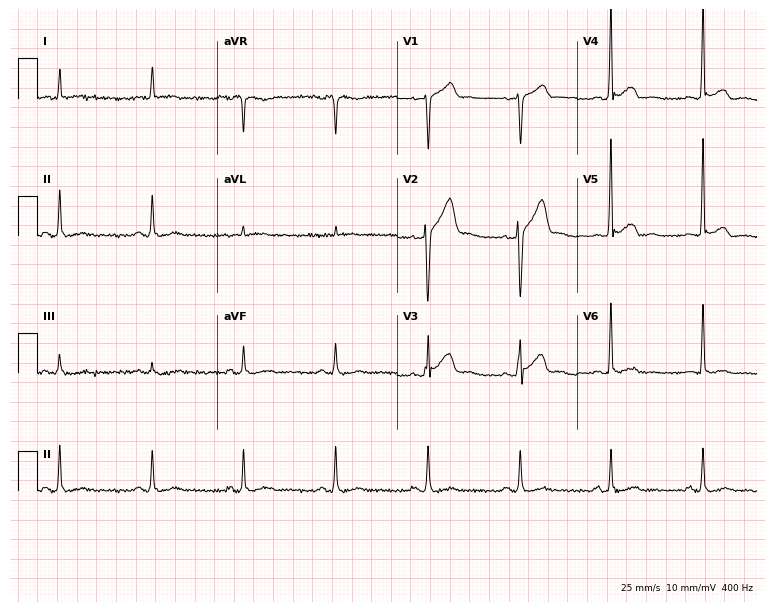
Electrocardiogram, a 72-year-old male. Of the six screened findings (first-degree AV block, right bundle branch block (RBBB), left bundle branch block (LBBB), sinus bradycardia, atrial fibrillation (AF), sinus tachycardia), none is recorded. Findings outside these six are not listed.